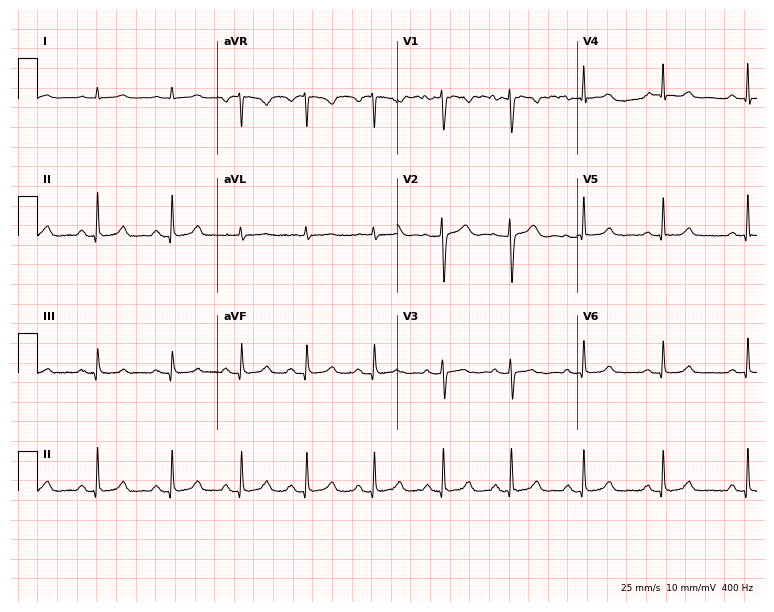
Resting 12-lead electrocardiogram (7.3-second recording at 400 Hz). Patient: a 26-year-old woman. None of these six findings is recorded: first-degree AV block, right bundle branch block (RBBB), left bundle branch block (LBBB), sinus bradycardia, atrial fibrillation (AF), sinus tachycardia.